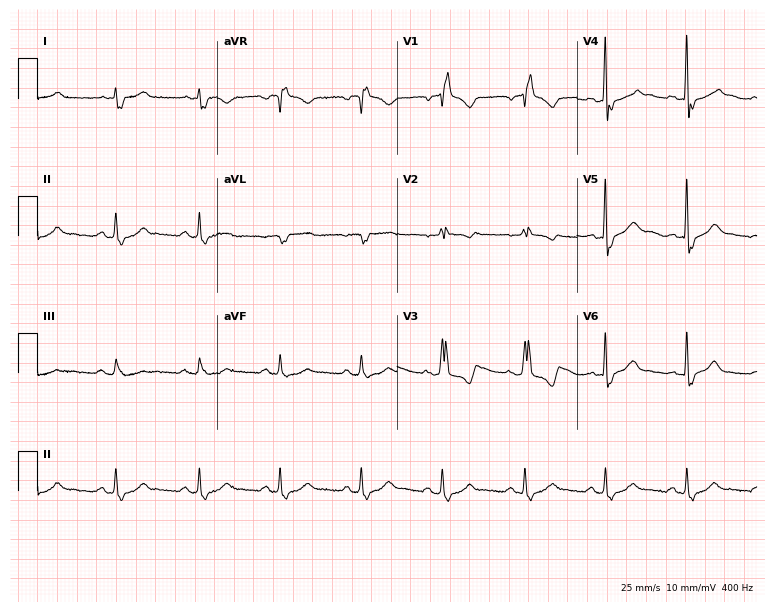
Electrocardiogram, a 58-year-old male. Interpretation includes right bundle branch block.